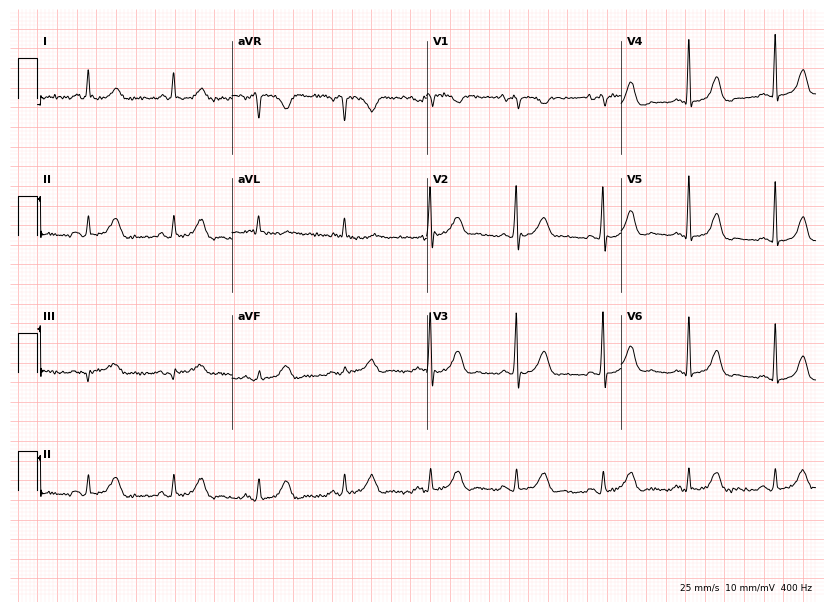
ECG (7.9-second recording at 400 Hz) — a 76-year-old female patient. Screened for six findings — first-degree AV block, right bundle branch block (RBBB), left bundle branch block (LBBB), sinus bradycardia, atrial fibrillation (AF), sinus tachycardia — none is recorded.